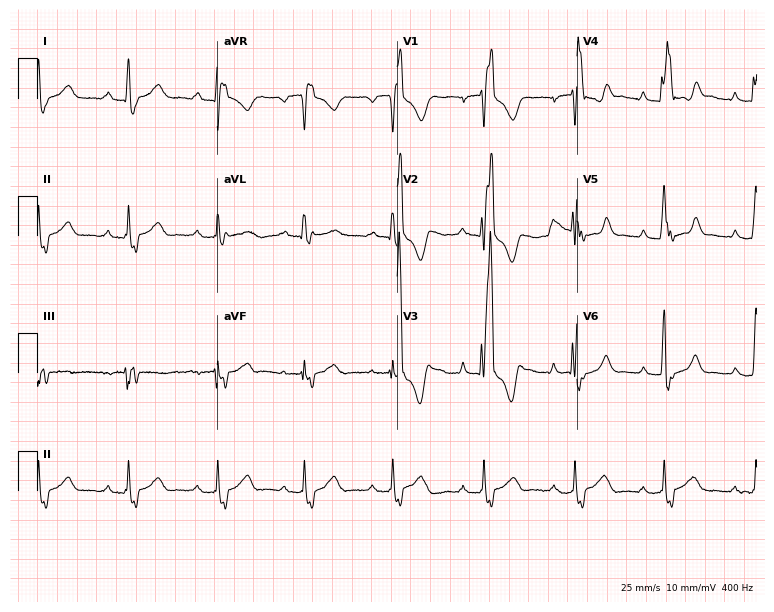
Resting 12-lead electrocardiogram. Patient: a 20-year-old male. The tracing shows right bundle branch block.